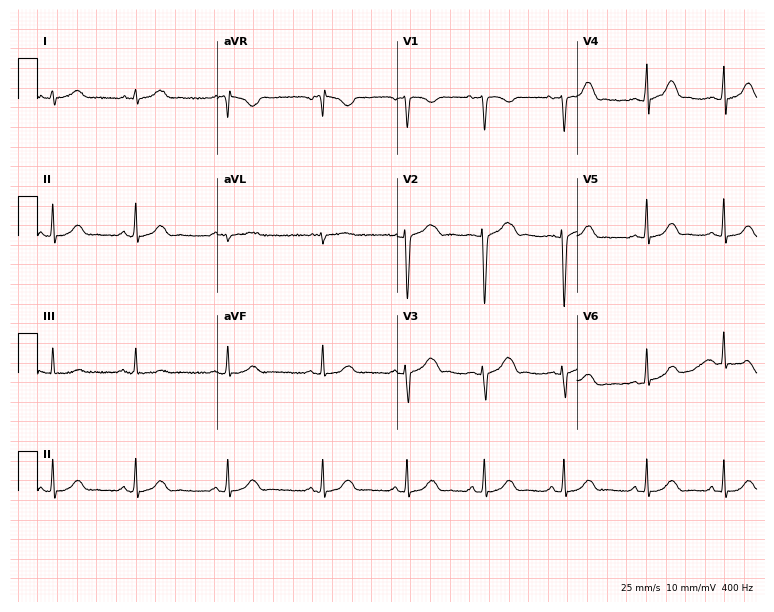
Standard 12-lead ECG recorded from a 22-year-old woman (7.3-second recording at 400 Hz). None of these six findings is recorded: first-degree AV block, right bundle branch block, left bundle branch block, sinus bradycardia, atrial fibrillation, sinus tachycardia.